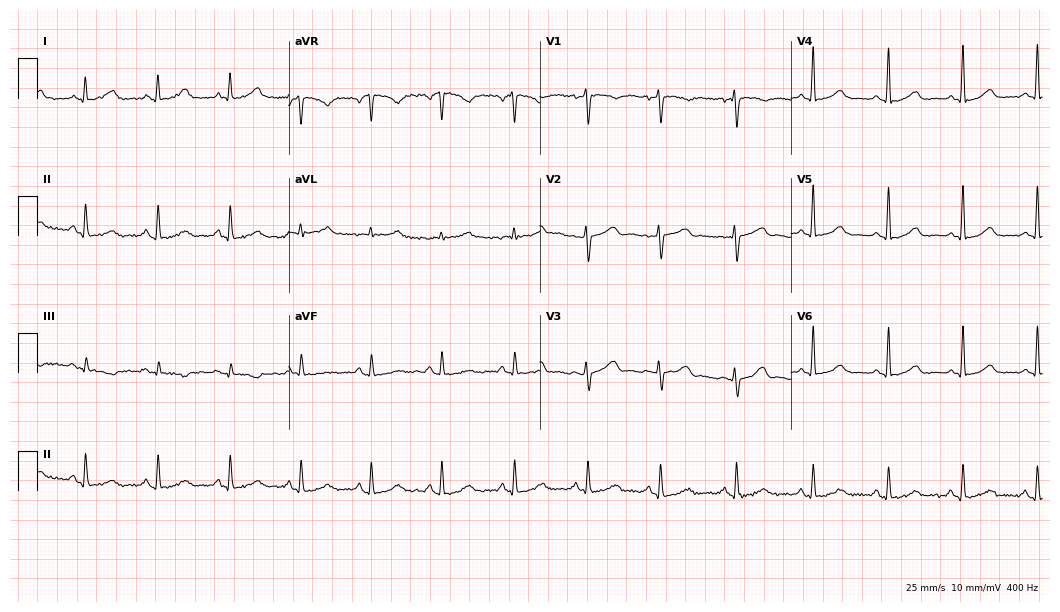
Resting 12-lead electrocardiogram. Patient: a 41-year-old female. Read as a normal ECG.